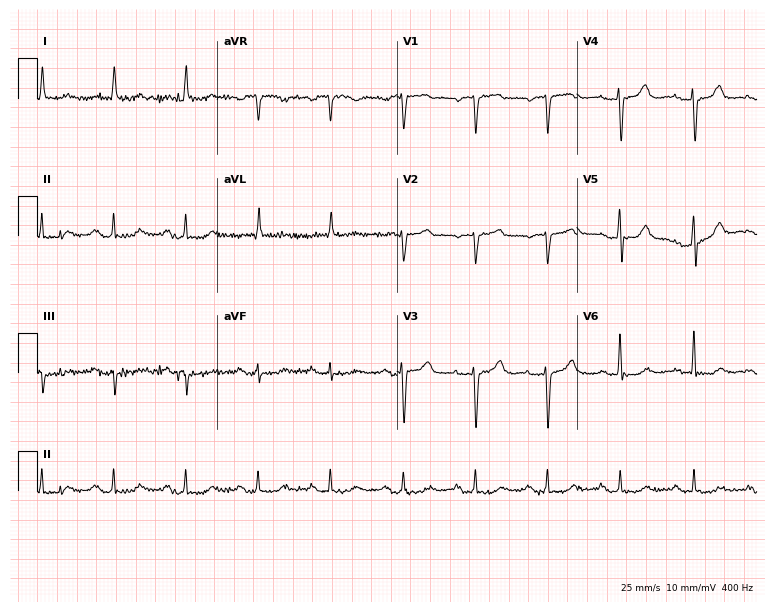
12-lead ECG from a female patient, 78 years old (7.3-second recording at 400 Hz). No first-degree AV block, right bundle branch block (RBBB), left bundle branch block (LBBB), sinus bradycardia, atrial fibrillation (AF) or sinus tachycardia recorded for this tracing.